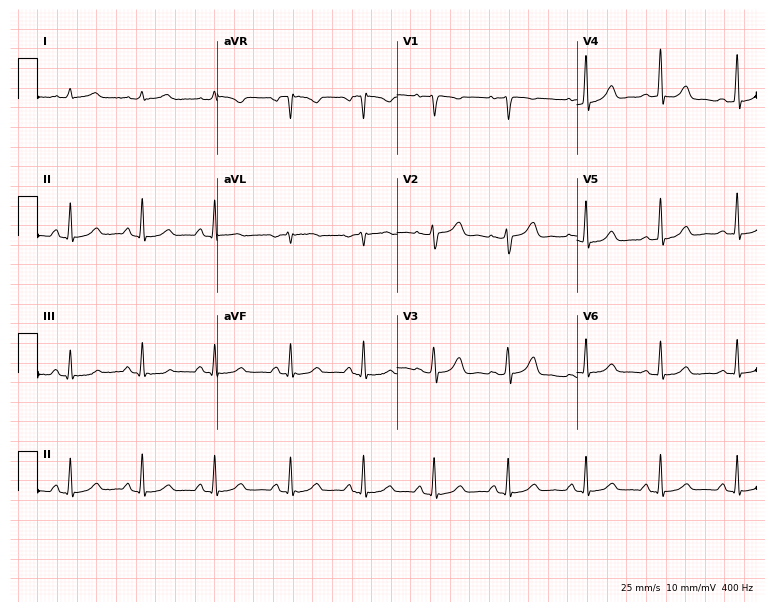
Electrocardiogram, a 43-year-old female. Of the six screened findings (first-degree AV block, right bundle branch block, left bundle branch block, sinus bradycardia, atrial fibrillation, sinus tachycardia), none is recorded. Other findings, if any, are not listed.